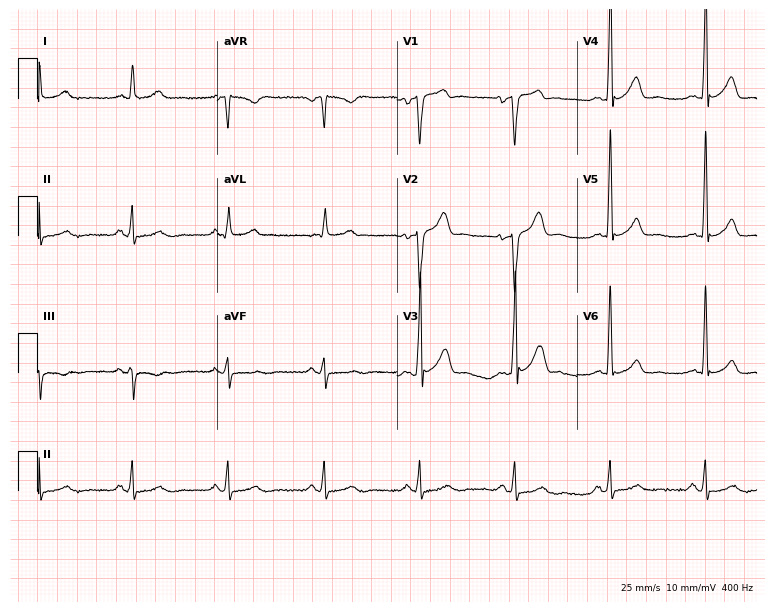
Standard 12-lead ECG recorded from a male, 58 years old. None of these six findings is recorded: first-degree AV block, right bundle branch block (RBBB), left bundle branch block (LBBB), sinus bradycardia, atrial fibrillation (AF), sinus tachycardia. Other findings, if any, are not listed.